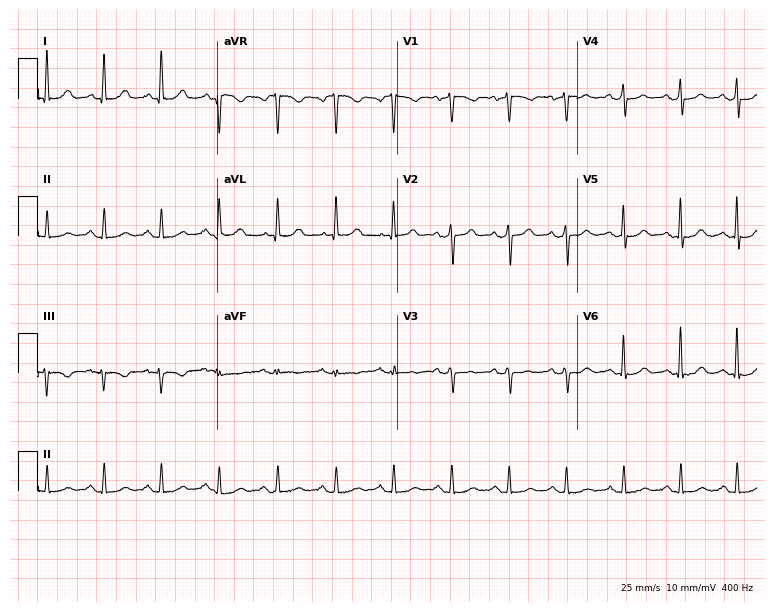
Standard 12-lead ECG recorded from a woman, 67 years old. The tracing shows sinus tachycardia (a sinus rate of 100 beats per minute or more).